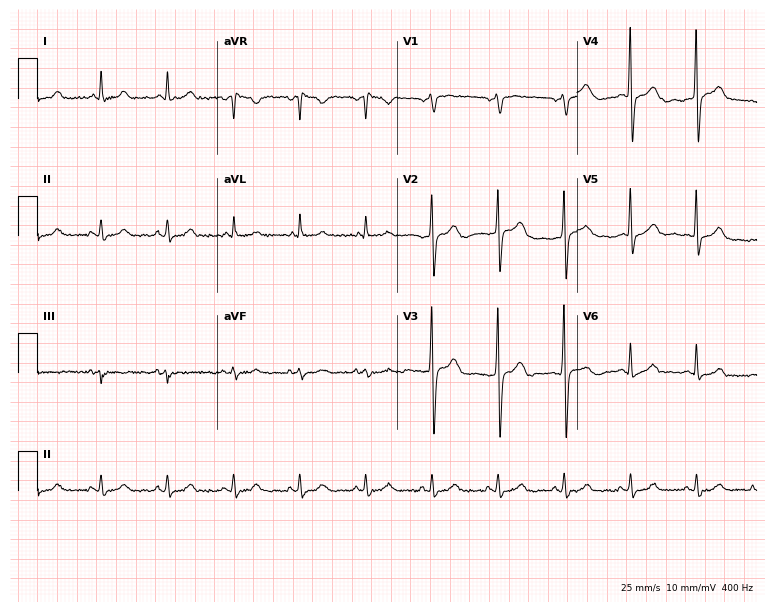
ECG — a male, 48 years old. Labelled as a normal ECG.